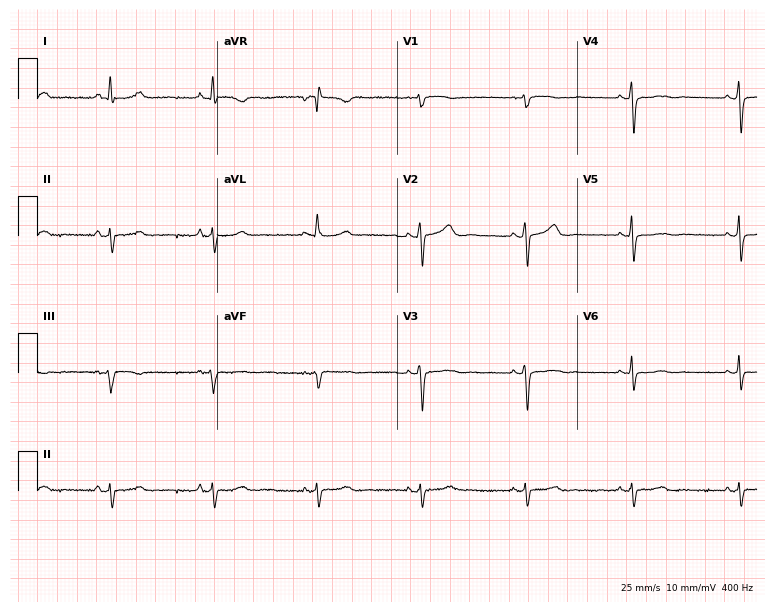
Standard 12-lead ECG recorded from a female, 49 years old (7.3-second recording at 400 Hz). None of these six findings is recorded: first-degree AV block, right bundle branch block, left bundle branch block, sinus bradycardia, atrial fibrillation, sinus tachycardia. Only these six findings were labelled.